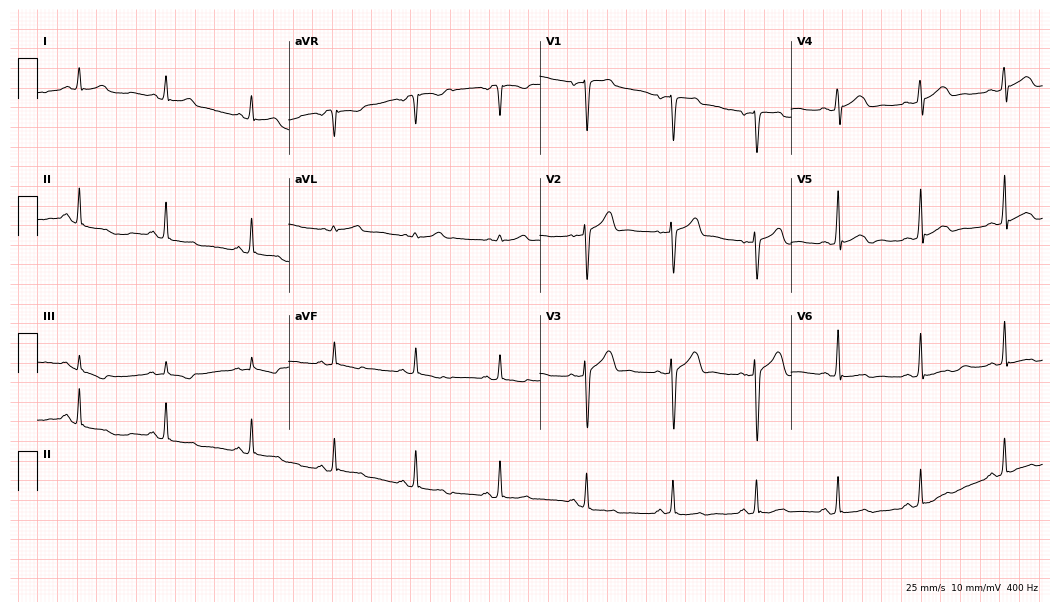
Standard 12-lead ECG recorded from a male, 33 years old. None of these six findings is recorded: first-degree AV block, right bundle branch block, left bundle branch block, sinus bradycardia, atrial fibrillation, sinus tachycardia.